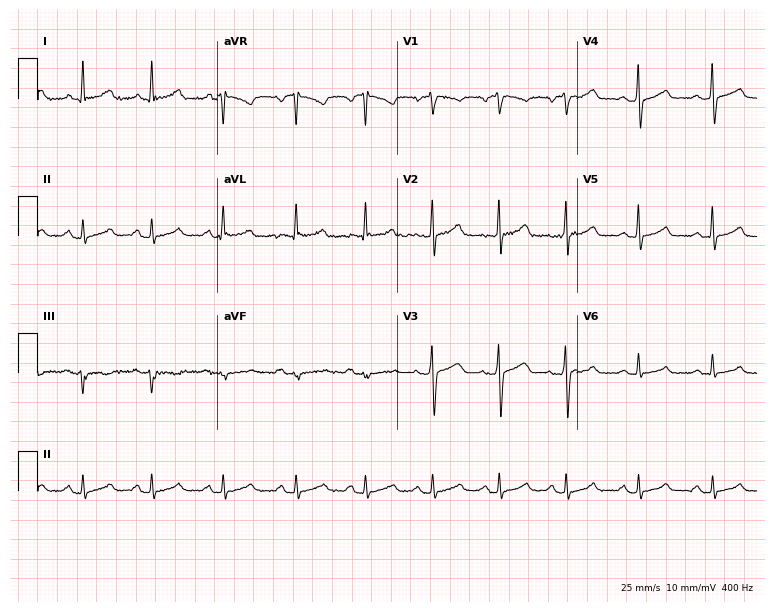
Standard 12-lead ECG recorded from a 45-year-old female patient. Read as a normal ECG.